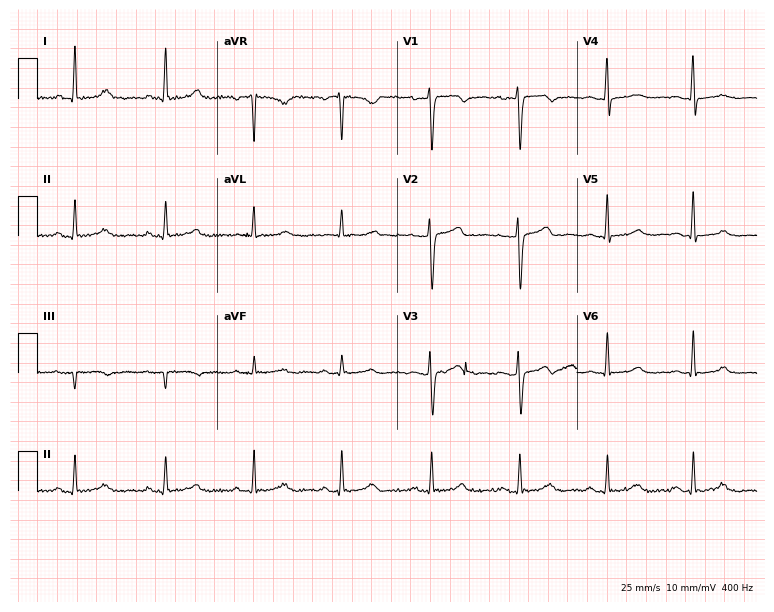
12-lead ECG from a female patient, 46 years old (7.3-second recording at 400 Hz). No first-degree AV block, right bundle branch block, left bundle branch block, sinus bradycardia, atrial fibrillation or sinus tachycardia recorded for this tracing. Only these six findings were labelled.